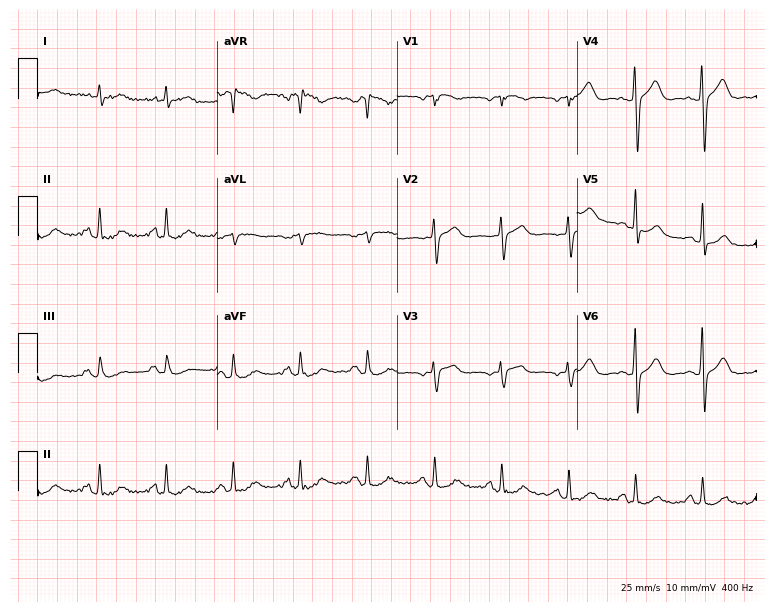
12-lead ECG from a 64-year-old man. No first-degree AV block, right bundle branch block, left bundle branch block, sinus bradycardia, atrial fibrillation or sinus tachycardia recorded for this tracing. Findings outside these six are not listed.